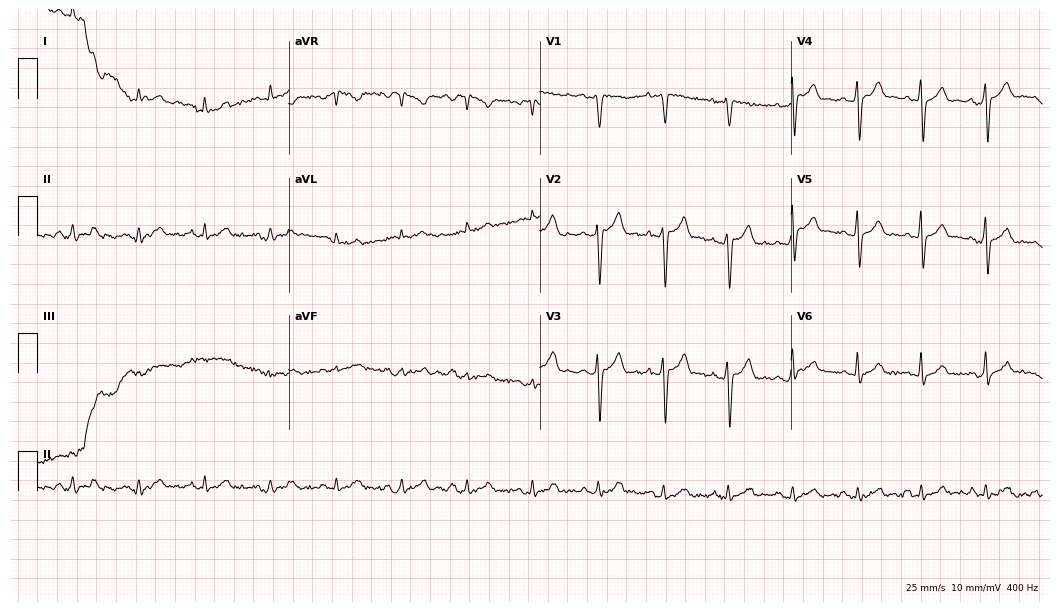
Standard 12-lead ECG recorded from a male, 67 years old. None of these six findings is recorded: first-degree AV block, right bundle branch block, left bundle branch block, sinus bradycardia, atrial fibrillation, sinus tachycardia. Findings outside these six are not listed.